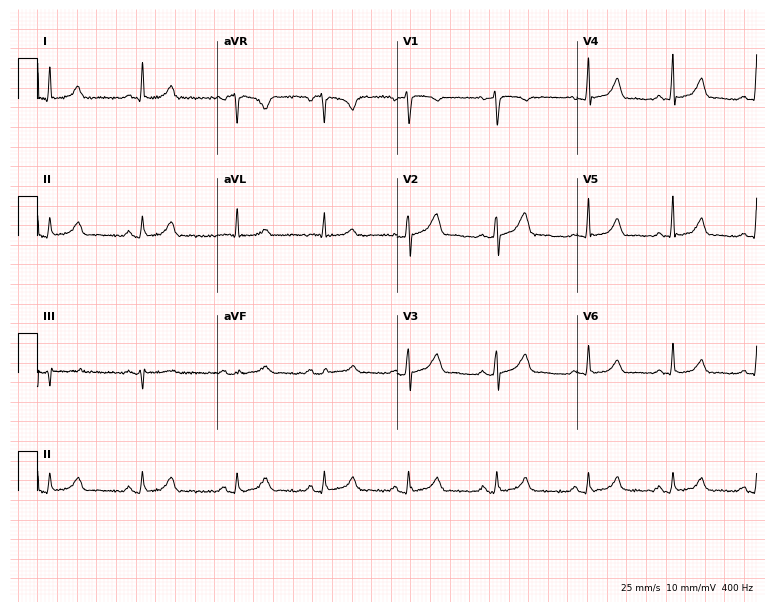
Resting 12-lead electrocardiogram (7.3-second recording at 400 Hz). Patient: a female, 42 years old. Read as a normal ECG.